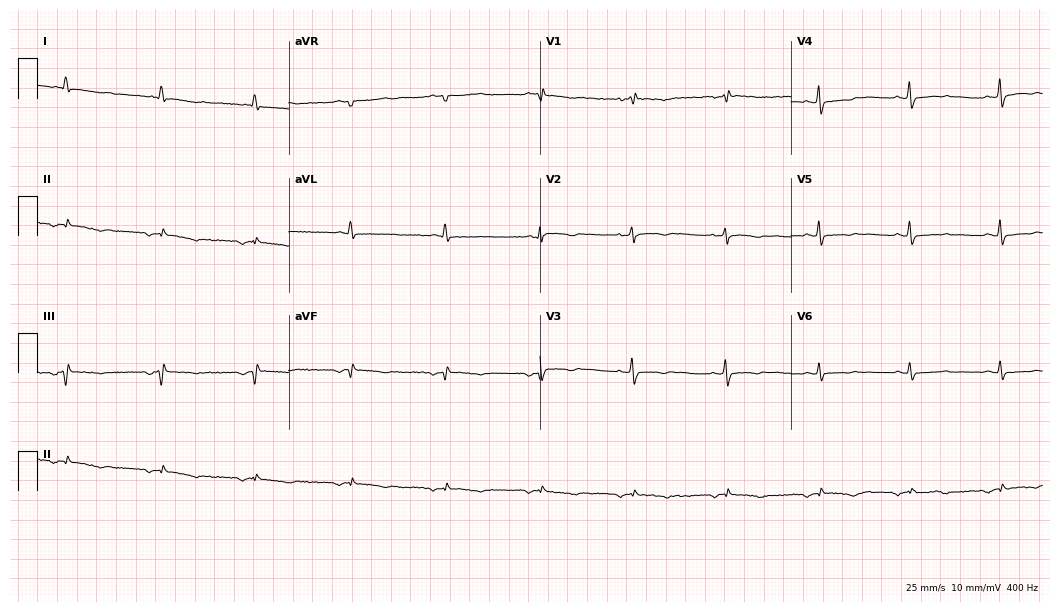
Electrocardiogram, a 53-year-old female patient. Of the six screened findings (first-degree AV block, right bundle branch block (RBBB), left bundle branch block (LBBB), sinus bradycardia, atrial fibrillation (AF), sinus tachycardia), none is recorded.